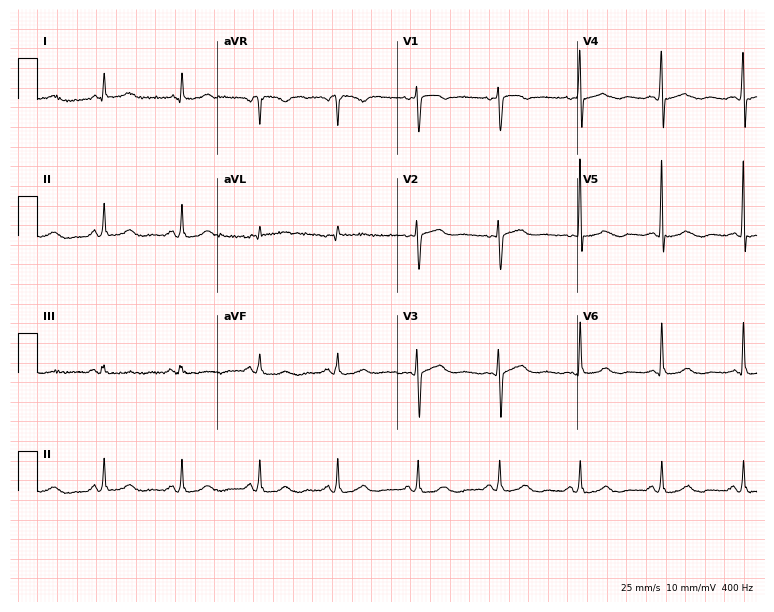
12-lead ECG from a 56-year-old female. Labelled as a normal ECG.